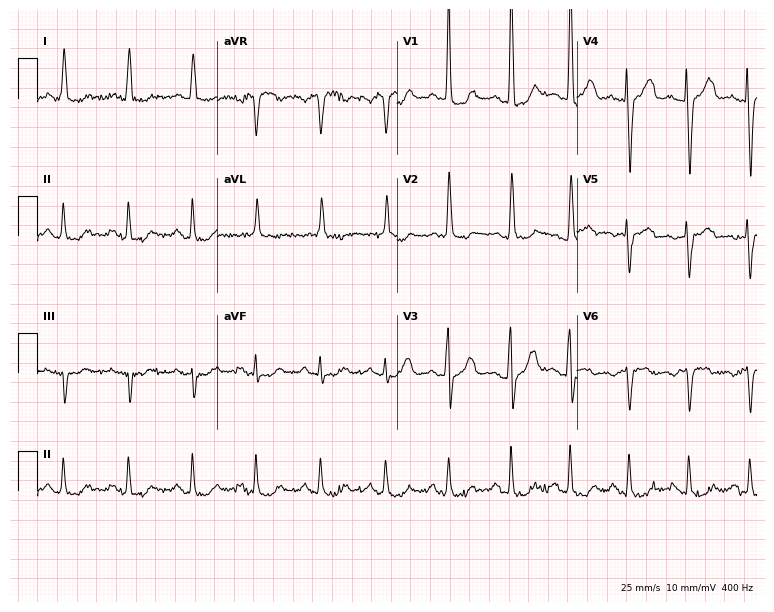
Resting 12-lead electrocardiogram. Patient: a 67-year-old woman. None of these six findings is recorded: first-degree AV block, right bundle branch block, left bundle branch block, sinus bradycardia, atrial fibrillation, sinus tachycardia.